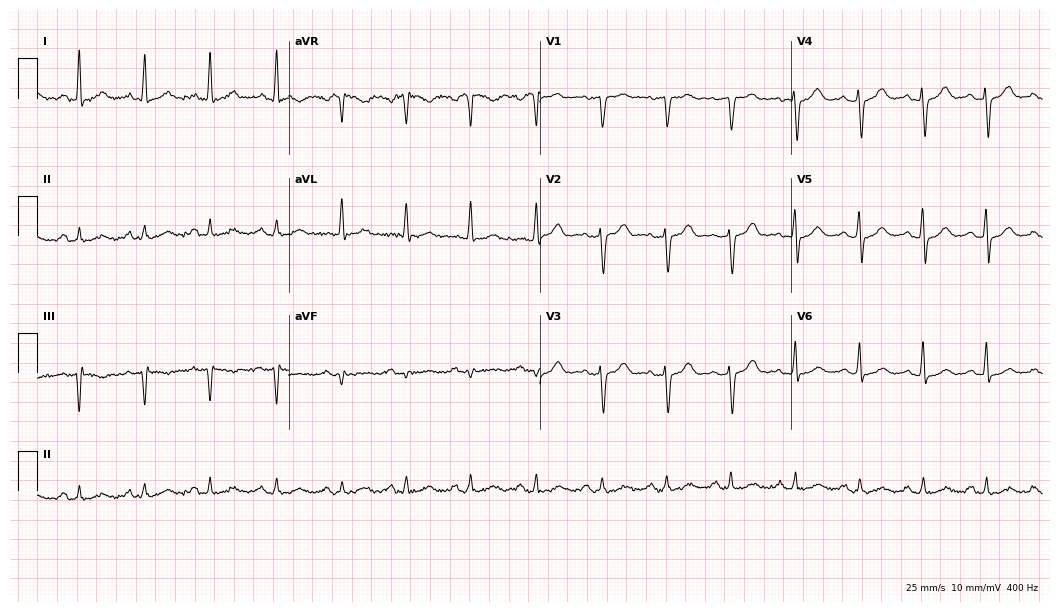
12-lead ECG from a woman, 63 years old. Screened for six findings — first-degree AV block, right bundle branch block (RBBB), left bundle branch block (LBBB), sinus bradycardia, atrial fibrillation (AF), sinus tachycardia — none is recorded. Only these six findings were labelled.